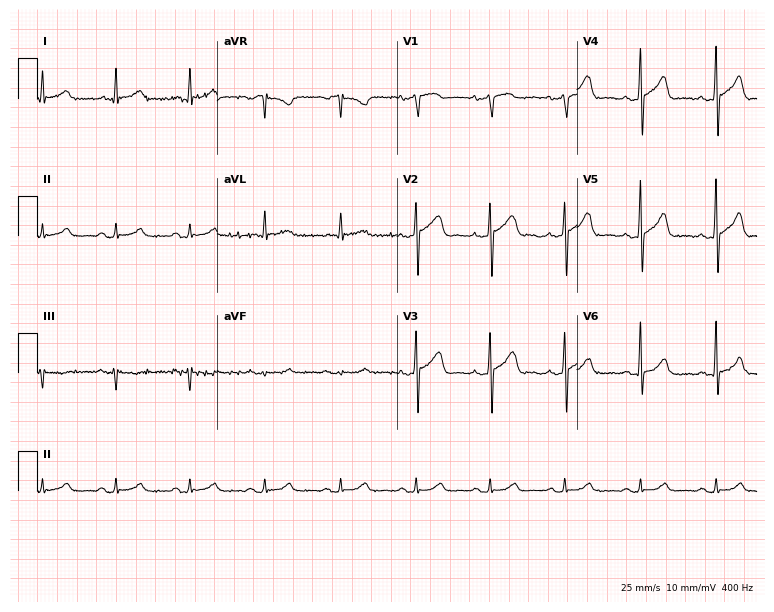
Electrocardiogram, a man, 72 years old. Of the six screened findings (first-degree AV block, right bundle branch block (RBBB), left bundle branch block (LBBB), sinus bradycardia, atrial fibrillation (AF), sinus tachycardia), none is recorded. Only these six findings were labelled.